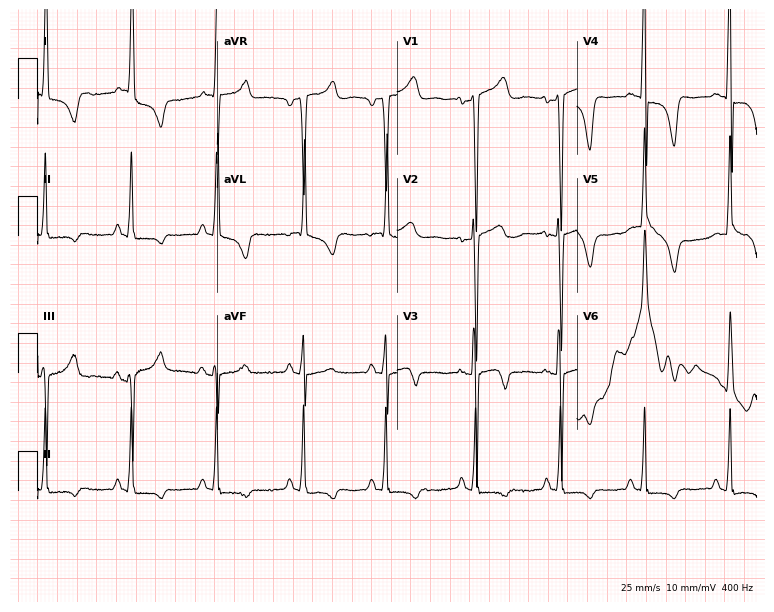
12-lead ECG from a 75-year-old female patient. Screened for six findings — first-degree AV block, right bundle branch block, left bundle branch block, sinus bradycardia, atrial fibrillation, sinus tachycardia — none is recorded. Findings outside these six are not listed.